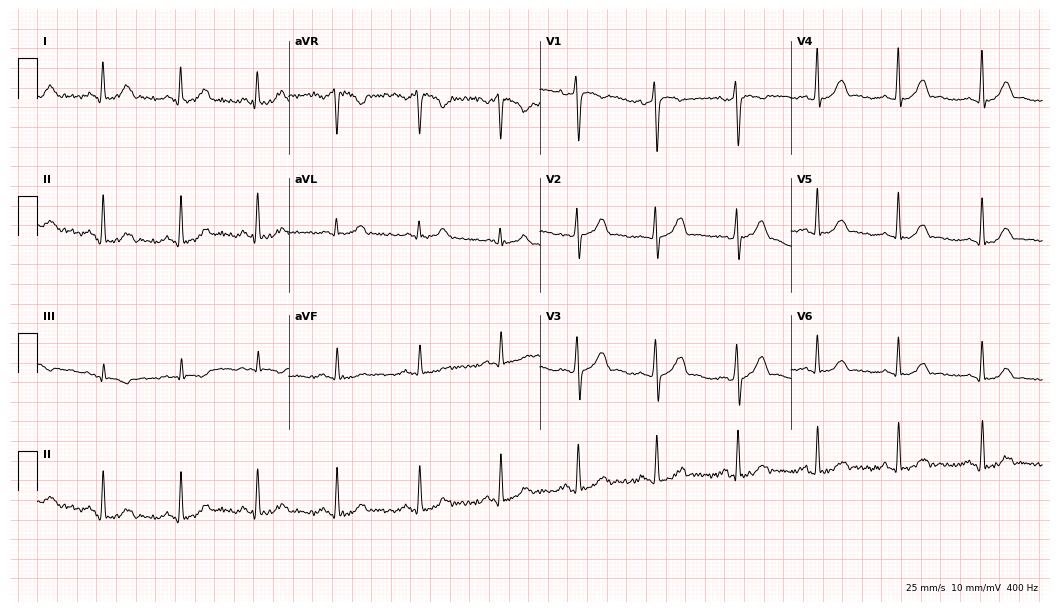
Standard 12-lead ECG recorded from a male patient, 32 years old. Read as a normal ECG.